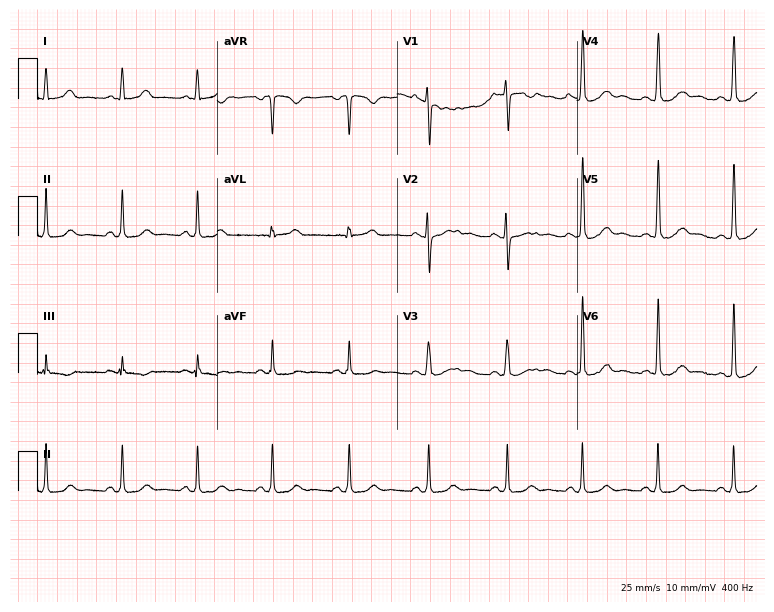
12-lead ECG from a female patient, 34 years old. Recorded interpretation: within normal limits.